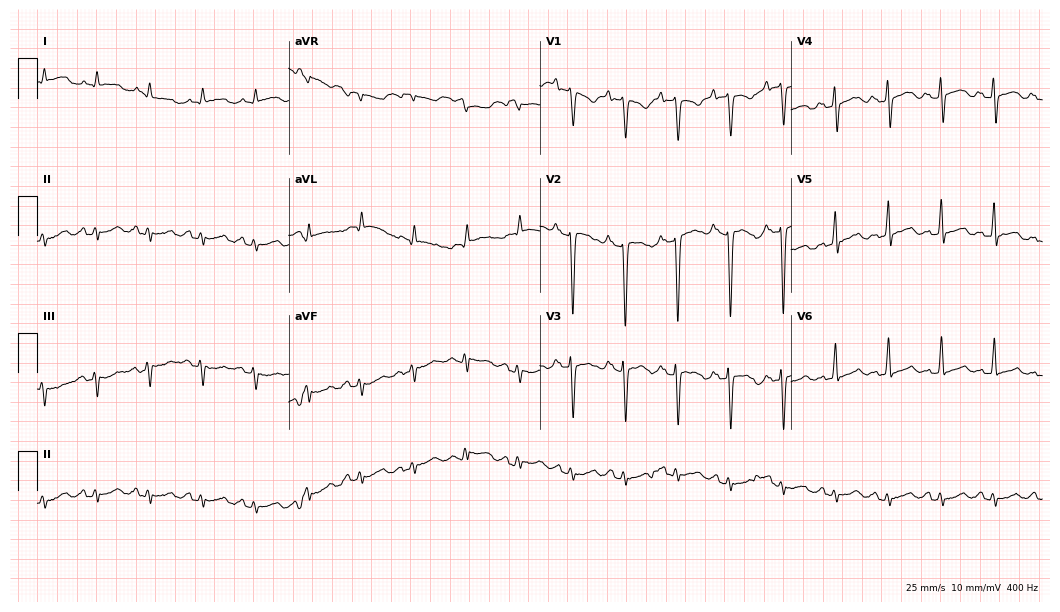
ECG — a male, 44 years old. Findings include sinus tachycardia (a sinus rate of 100 beats per minute or more).